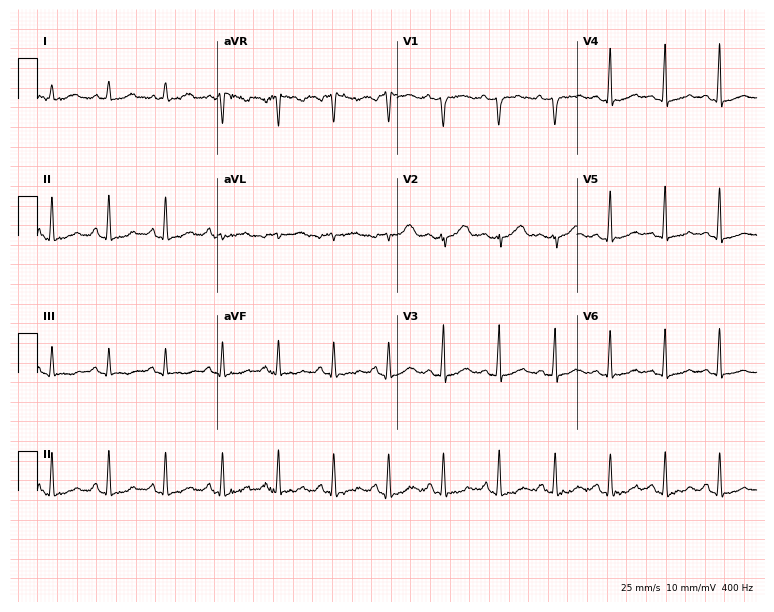
Electrocardiogram, a female, 38 years old. Interpretation includes sinus tachycardia (a sinus rate of 100 beats per minute or more).